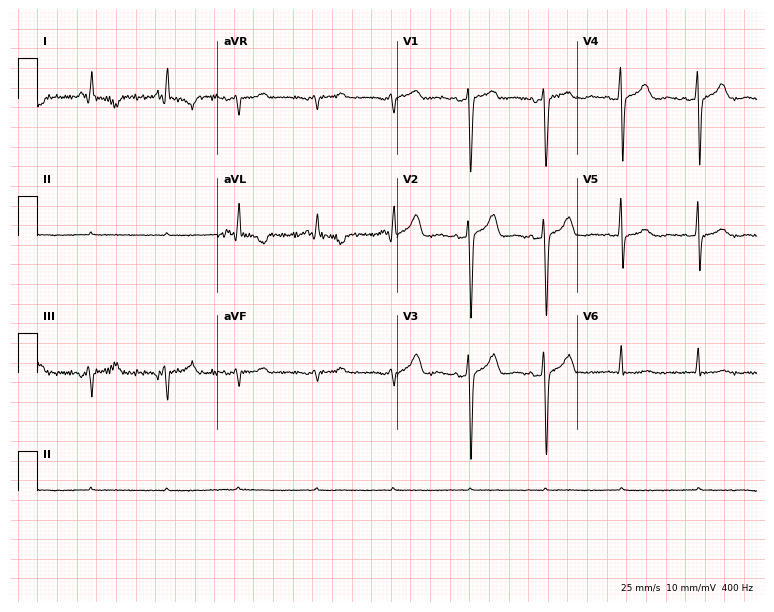
ECG (7.3-second recording at 400 Hz) — a woman, 75 years old. Screened for six findings — first-degree AV block, right bundle branch block, left bundle branch block, sinus bradycardia, atrial fibrillation, sinus tachycardia — none is recorded. Findings outside these six are not listed.